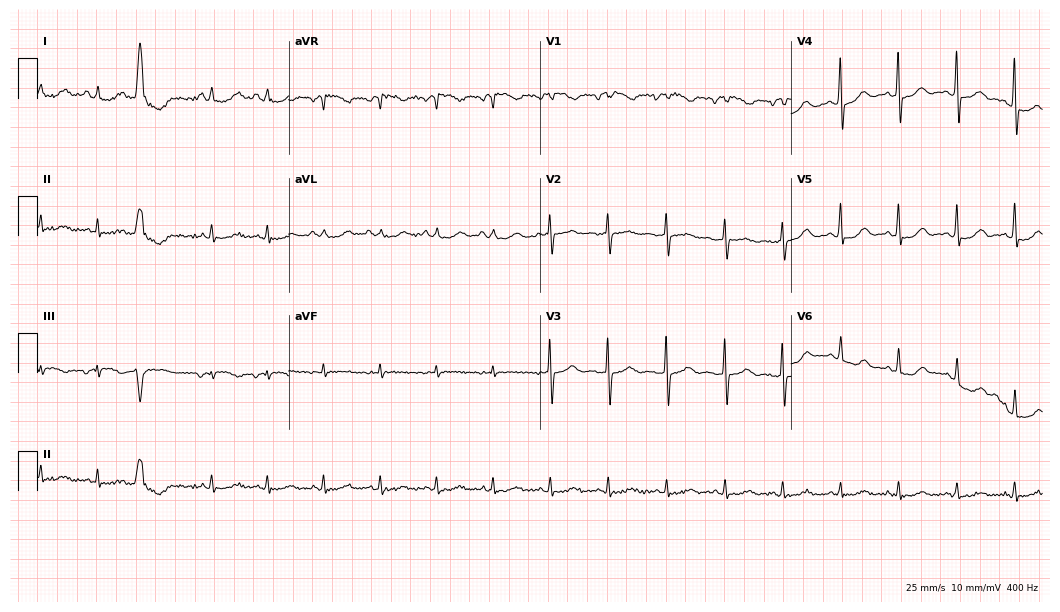
Resting 12-lead electrocardiogram. Patient: a female, 81 years old. The tracing shows sinus tachycardia (a sinus rate of 100 beats per minute or more).